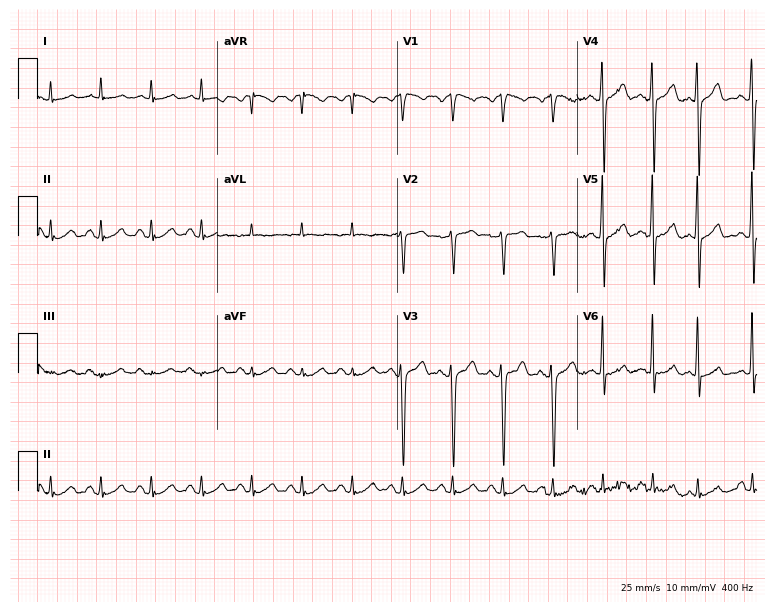
Standard 12-lead ECG recorded from a man, 53 years old. None of these six findings is recorded: first-degree AV block, right bundle branch block, left bundle branch block, sinus bradycardia, atrial fibrillation, sinus tachycardia.